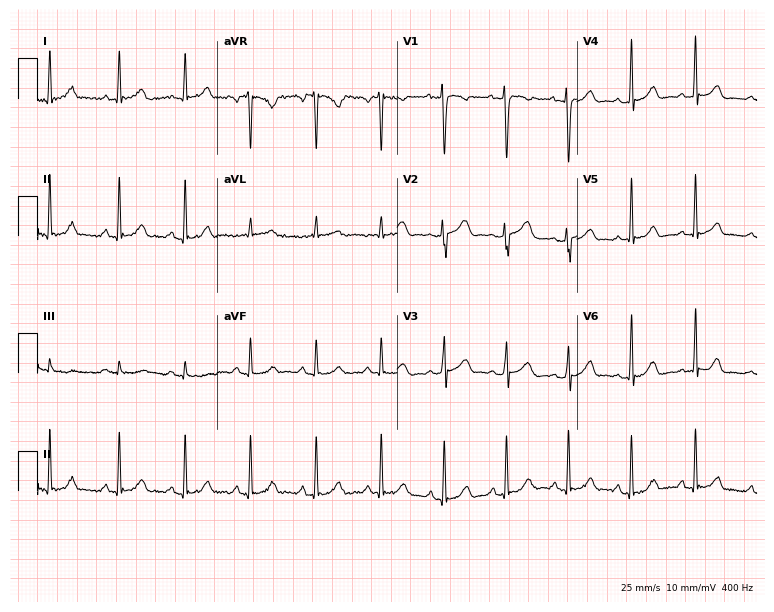
Electrocardiogram, a woman, 20 years old. Overall reading on record: normal ECG.